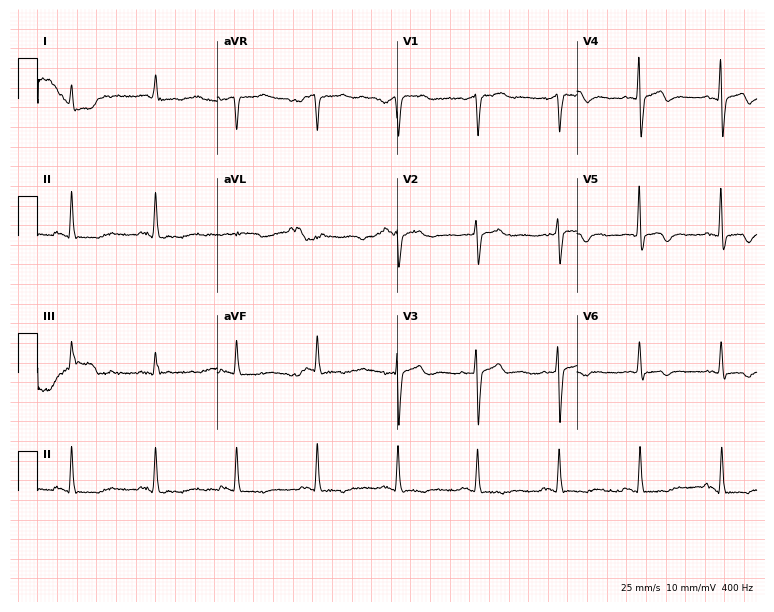
12-lead ECG from a female, 83 years old. No first-degree AV block, right bundle branch block (RBBB), left bundle branch block (LBBB), sinus bradycardia, atrial fibrillation (AF) or sinus tachycardia recorded for this tracing.